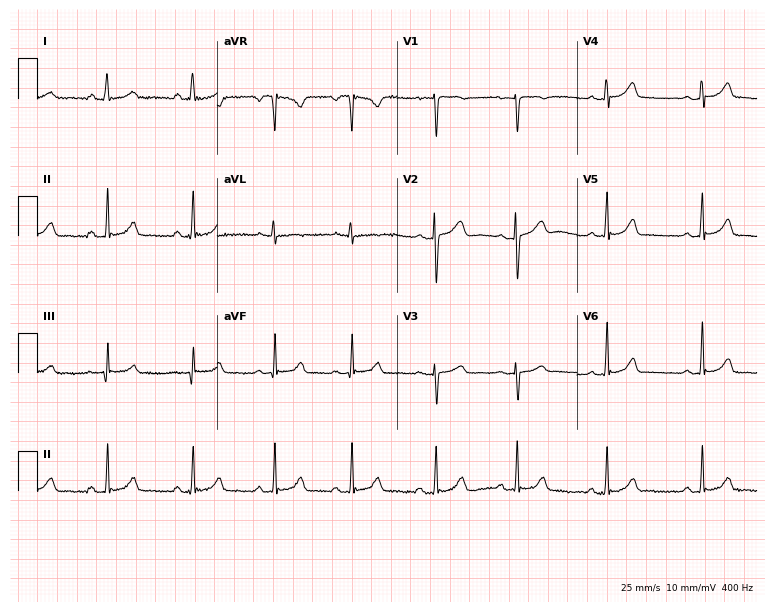
Resting 12-lead electrocardiogram (7.3-second recording at 400 Hz). Patient: a 17-year-old female. Read as a normal ECG.